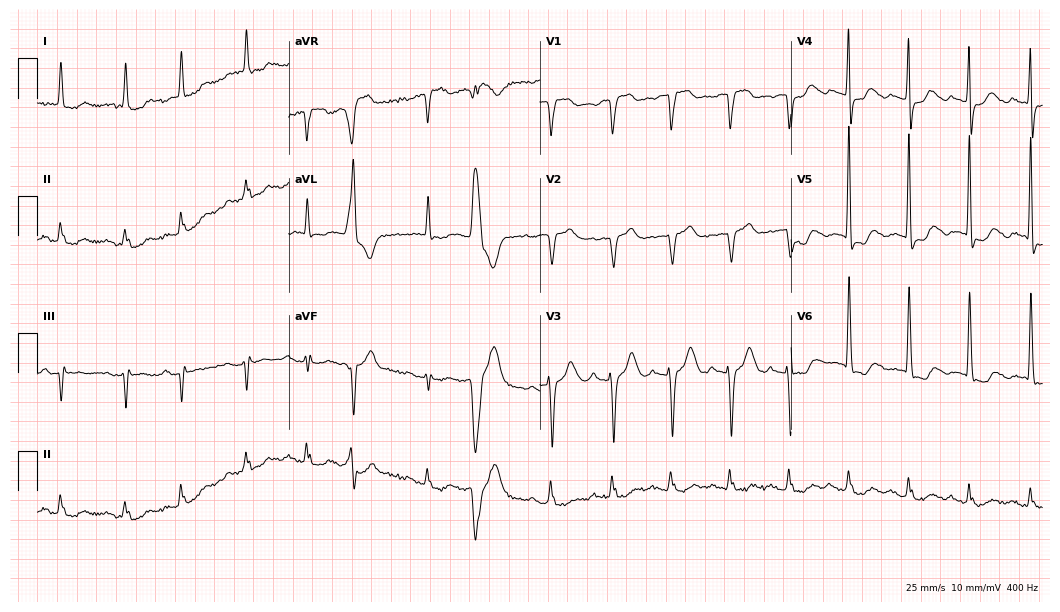
Electrocardiogram (10.2-second recording at 400 Hz), a man, 84 years old. Of the six screened findings (first-degree AV block, right bundle branch block (RBBB), left bundle branch block (LBBB), sinus bradycardia, atrial fibrillation (AF), sinus tachycardia), none is recorded. Only these six findings were labelled.